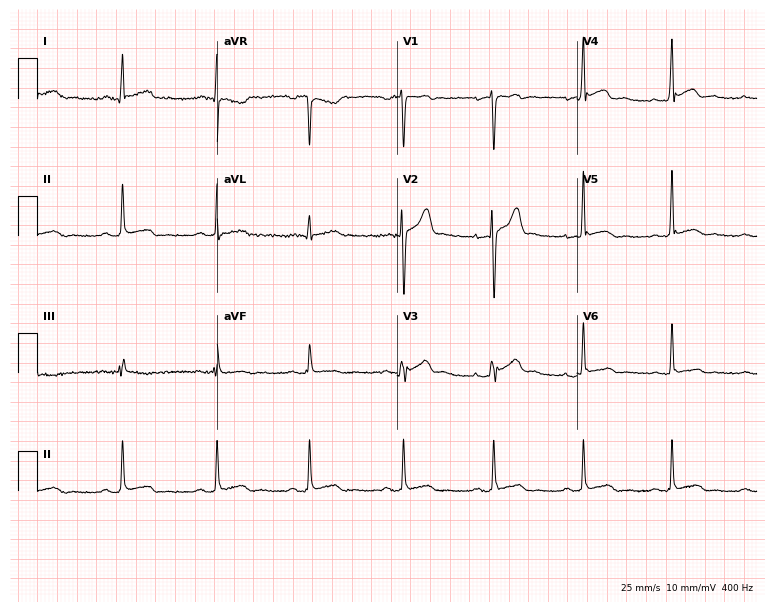
12-lead ECG from a male, 51 years old. Screened for six findings — first-degree AV block, right bundle branch block, left bundle branch block, sinus bradycardia, atrial fibrillation, sinus tachycardia — none is recorded. Findings outside these six are not listed.